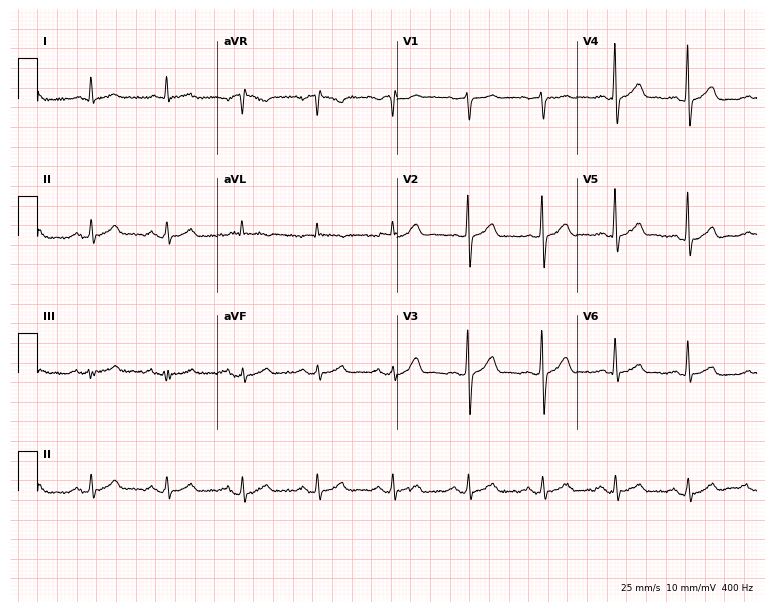
Electrocardiogram (7.3-second recording at 400 Hz), a male, 60 years old. Overall reading on record: normal ECG.